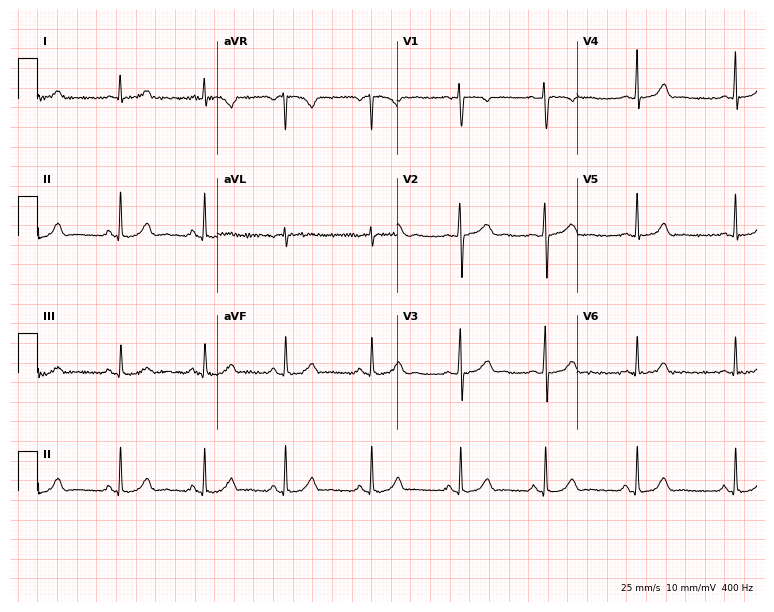
Standard 12-lead ECG recorded from a 22-year-old female (7.3-second recording at 400 Hz). None of these six findings is recorded: first-degree AV block, right bundle branch block (RBBB), left bundle branch block (LBBB), sinus bradycardia, atrial fibrillation (AF), sinus tachycardia.